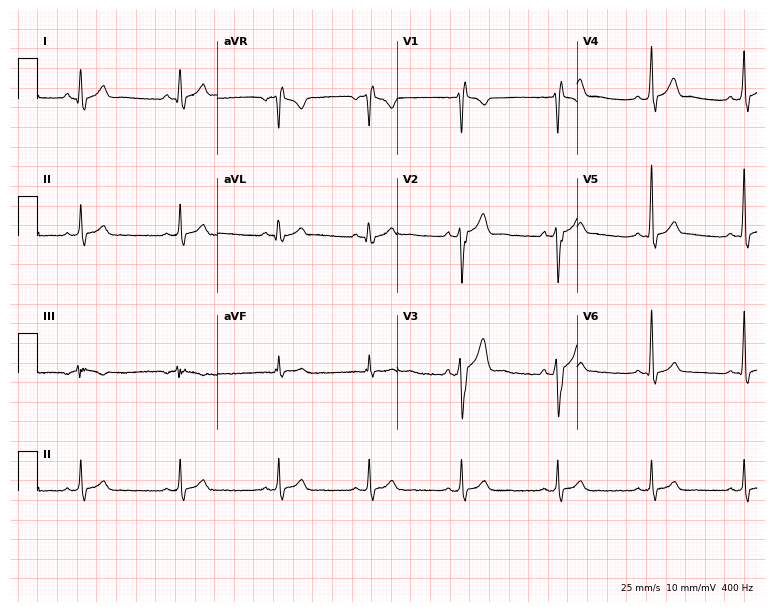
ECG (7.3-second recording at 400 Hz) — a male patient, 22 years old. Screened for six findings — first-degree AV block, right bundle branch block (RBBB), left bundle branch block (LBBB), sinus bradycardia, atrial fibrillation (AF), sinus tachycardia — none is recorded. Findings outside these six are not listed.